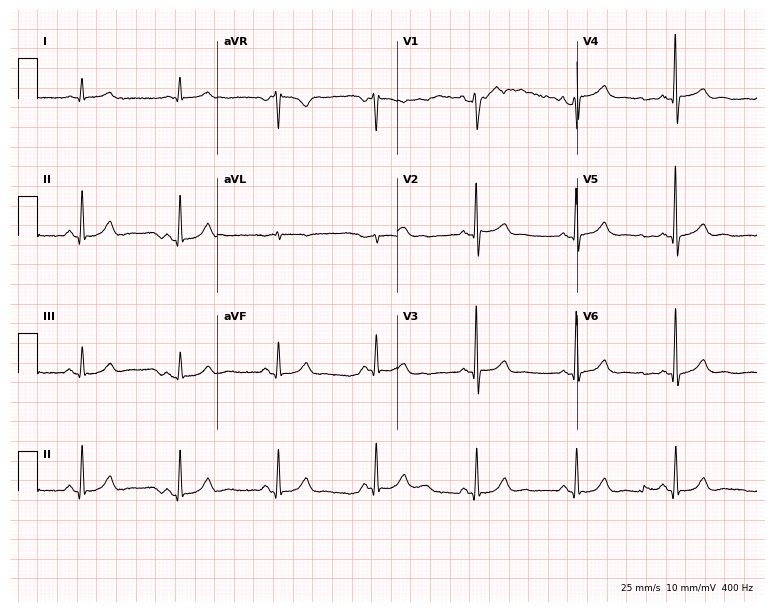
Electrocardiogram, a man, 68 years old. Overall reading on record: normal ECG.